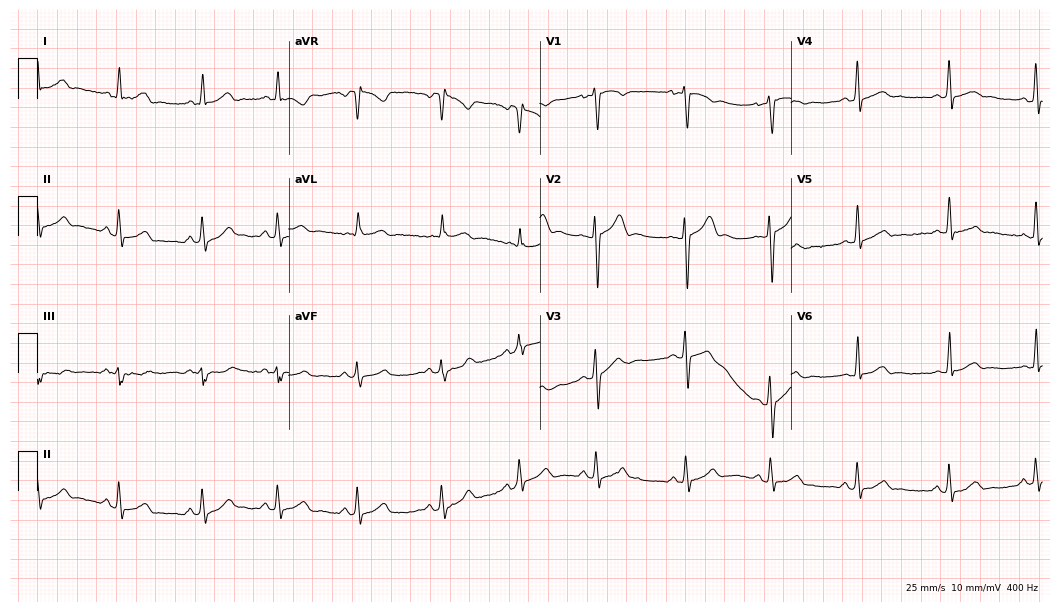
12-lead ECG from a male patient, 18 years old. Recorded interpretation: within normal limits.